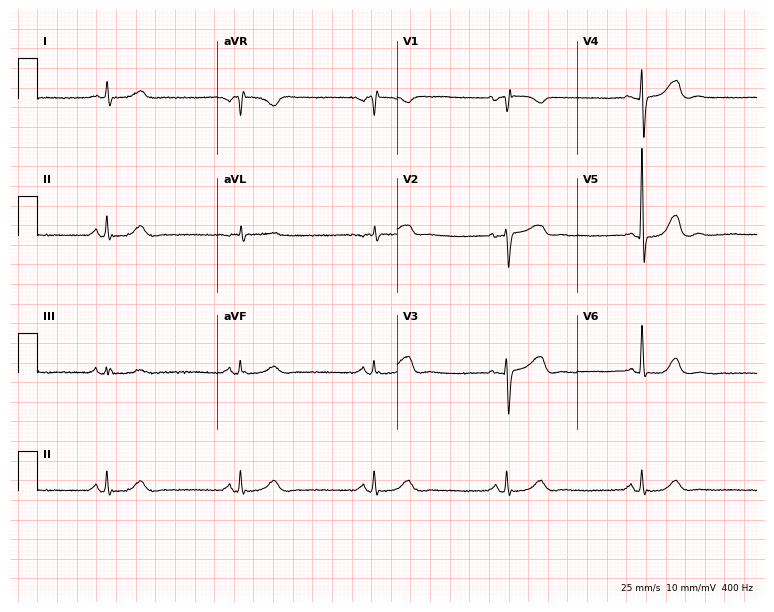
Electrocardiogram (7.3-second recording at 400 Hz), a female, 73 years old. Interpretation includes sinus bradycardia (a sinus rate of 50 beats per minute or less).